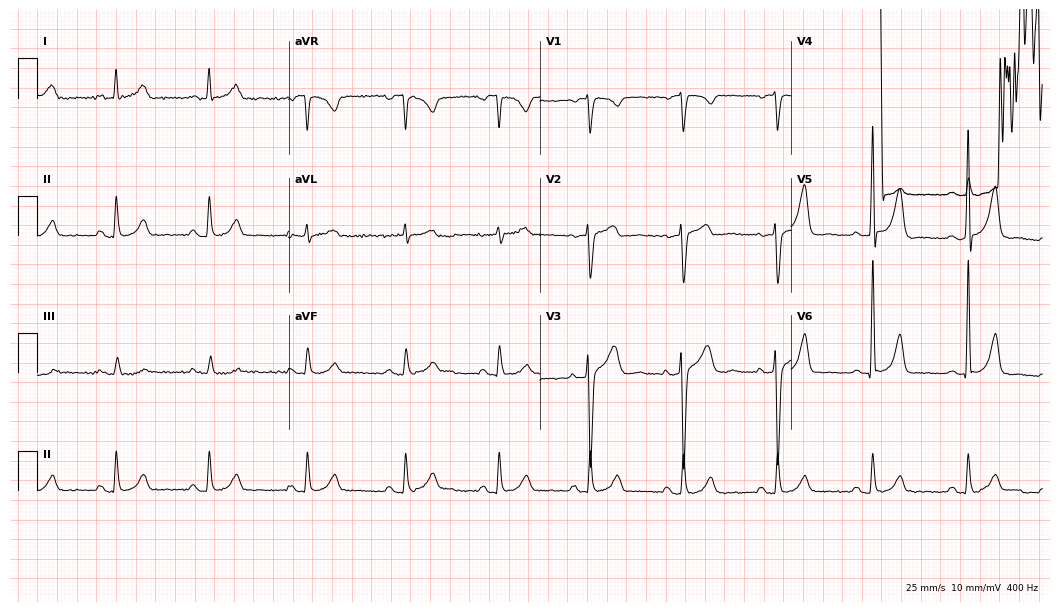
ECG — a 43-year-old male patient. Screened for six findings — first-degree AV block, right bundle branch block, left bundle branch block, sinus bradycardia, atrial fibrillation, sinus tachycardia — none is recorded. Findings outside these six are not listed.